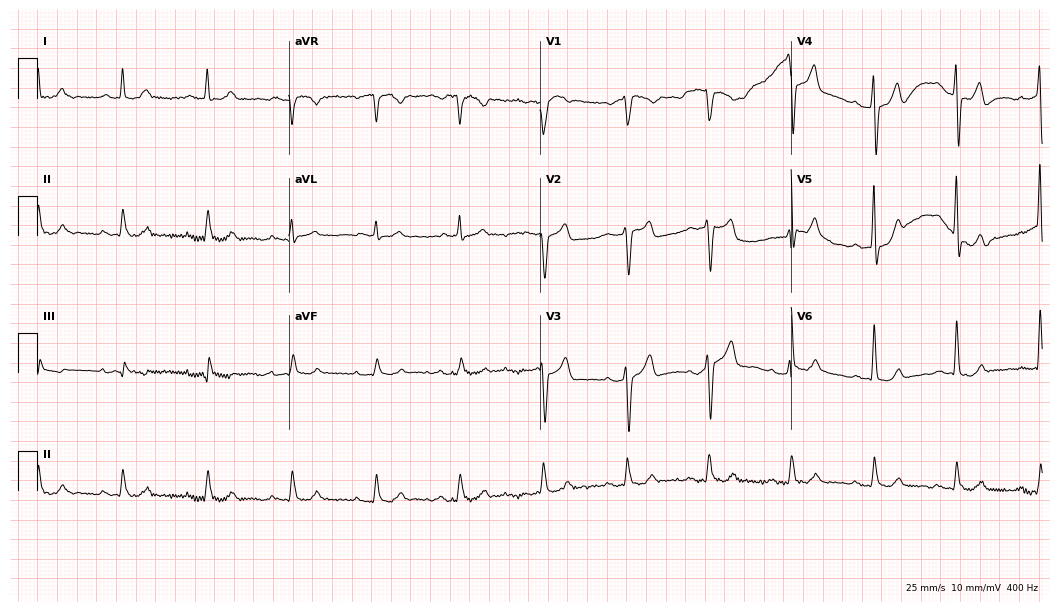
12-lead ECG (10.2-second recording at 400 Hz) from a 64-year-old male. Labelled as a normal ECG.